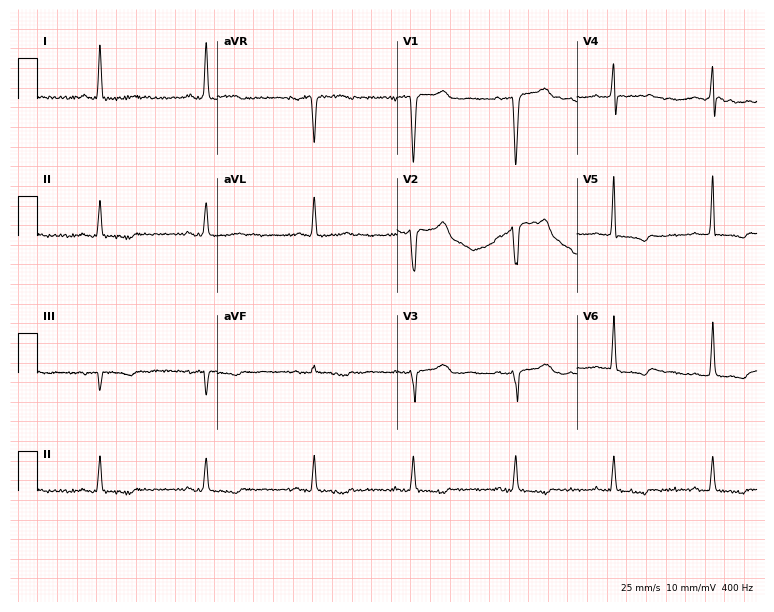
Resting 12-lead electrocardiogram. Patient: a 64-year-old woman. Read as a normal ECG.